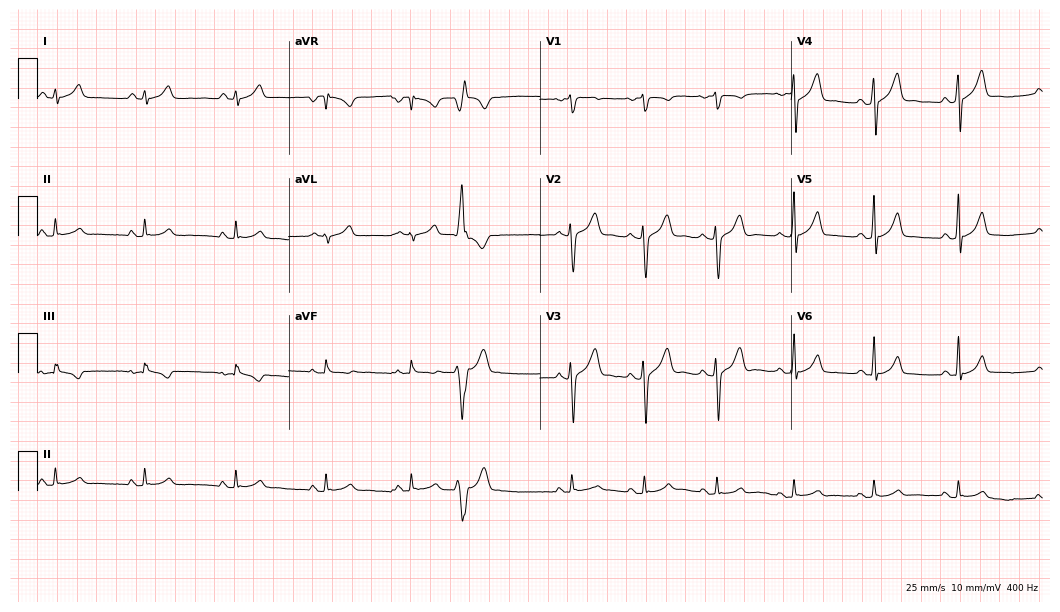
Standard 12-lead ECG recorded from a man, 27 years old. Read as a normal ECG.